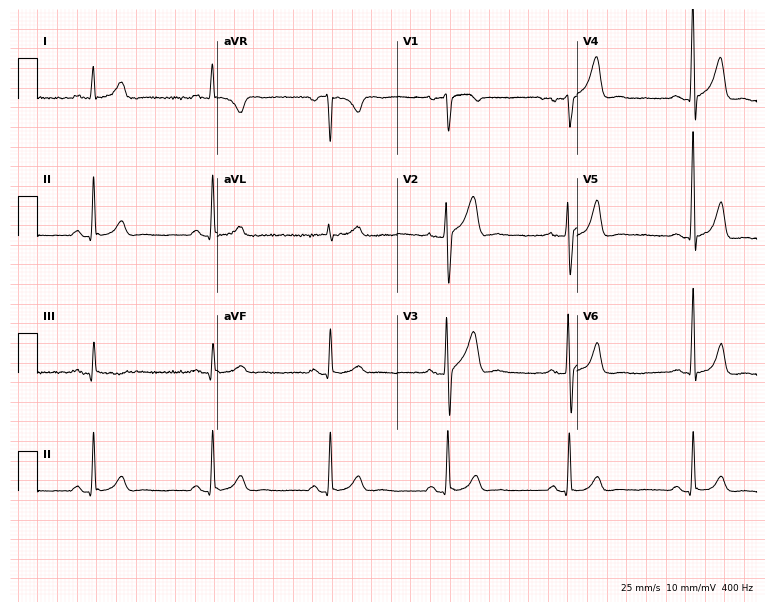
Resting 12-lead electrocardiogram. Patient: a male, 40 years old. None of these six findings is recorded: first-degree AV block, right bundle branch block, left bundle branch block, sinus bradycardia, atrial fibrillation, sinus tachycardia.